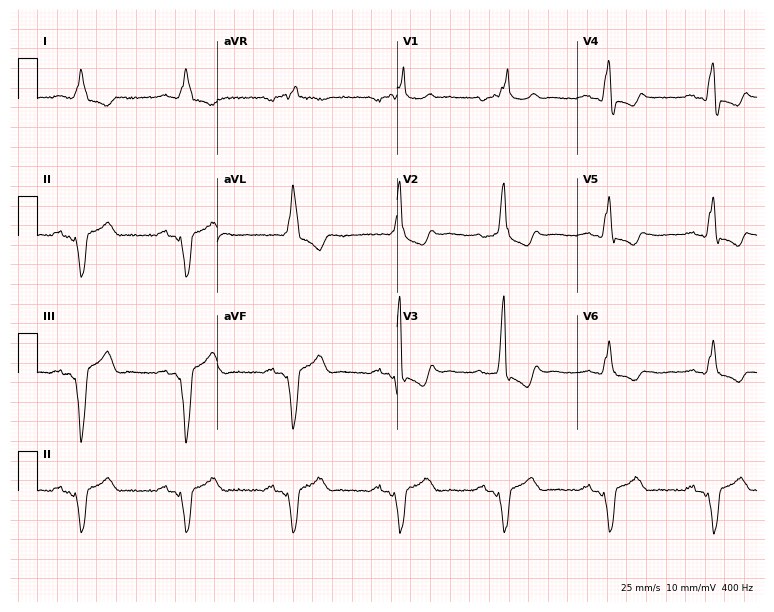
12-lead ECG from a male patient, 78 years old. Shows right bundle branch block.